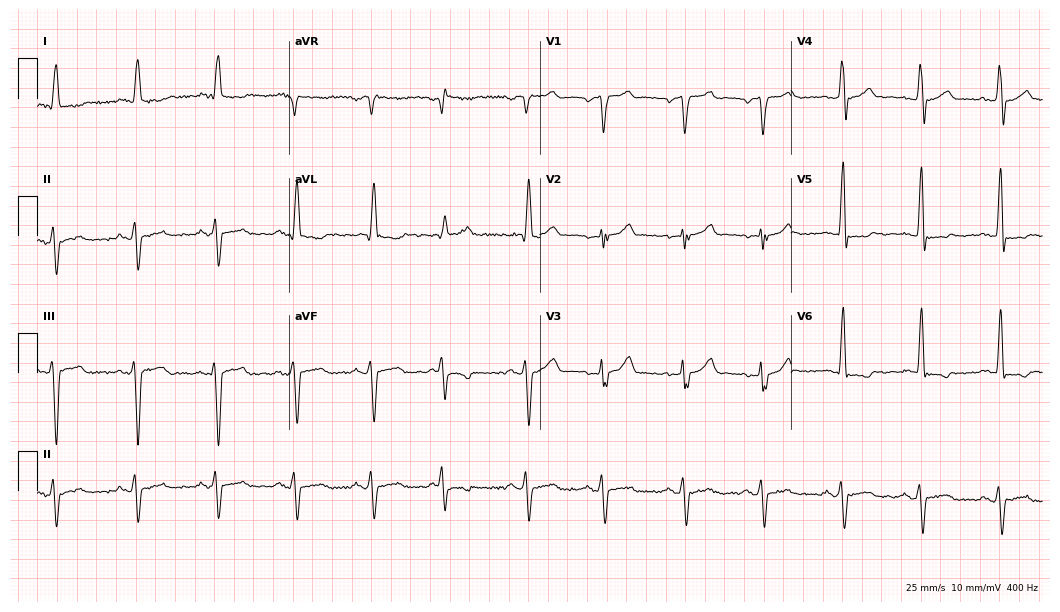
12-lead ECG (10.2-second recording at 400 Hz) from a 63-year-old male patient. Screened for six findings — first-degree AV block, right bundle branch block, left bundle branch block, sinus bradycardia, atrial fibrillation, sinus tachycardia — none is recorded.